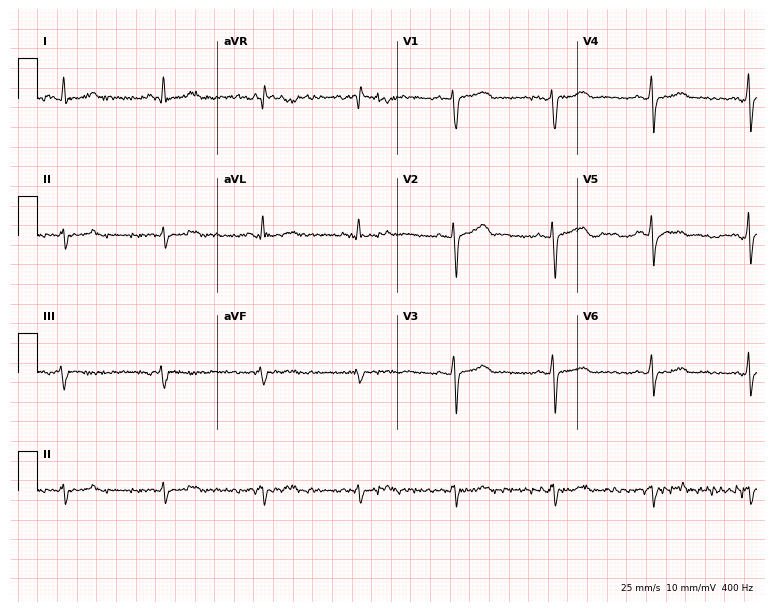
12-lead ECG from a 48-year-old woman. Screened for six findings — first-degree AV block, right bundle branch block, left bundle branch block, sinus bradycardia, atrial fibrillation, sinus tachycardia — none is recorded. Only these six findings were labelled.